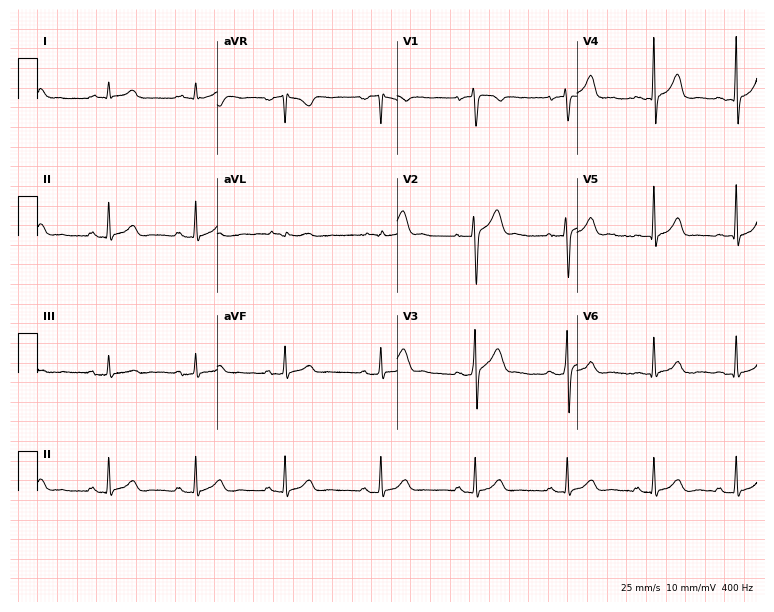
12-lead ECG from a 23-year-old male. Recorded interpretation: within normal limits.